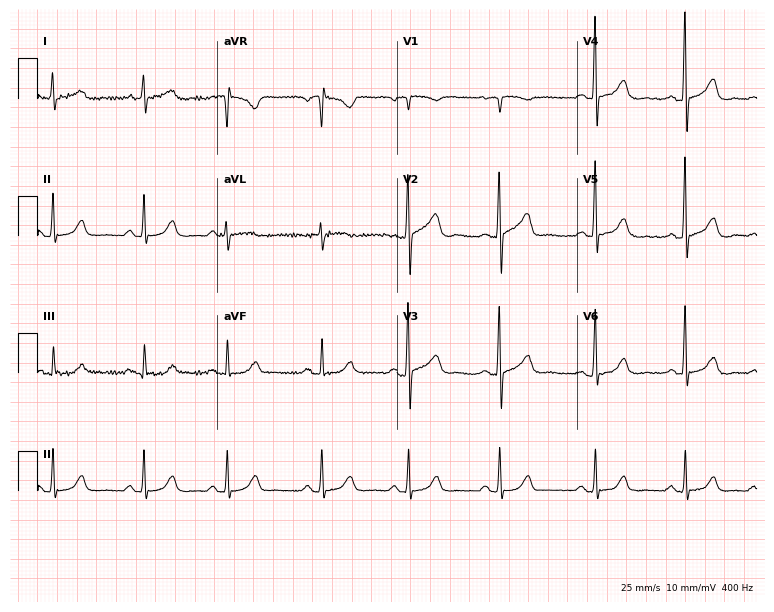
Resting 12-lead electrocardiogram. Patient: a 57-year-old female. Read as a normal ECG.